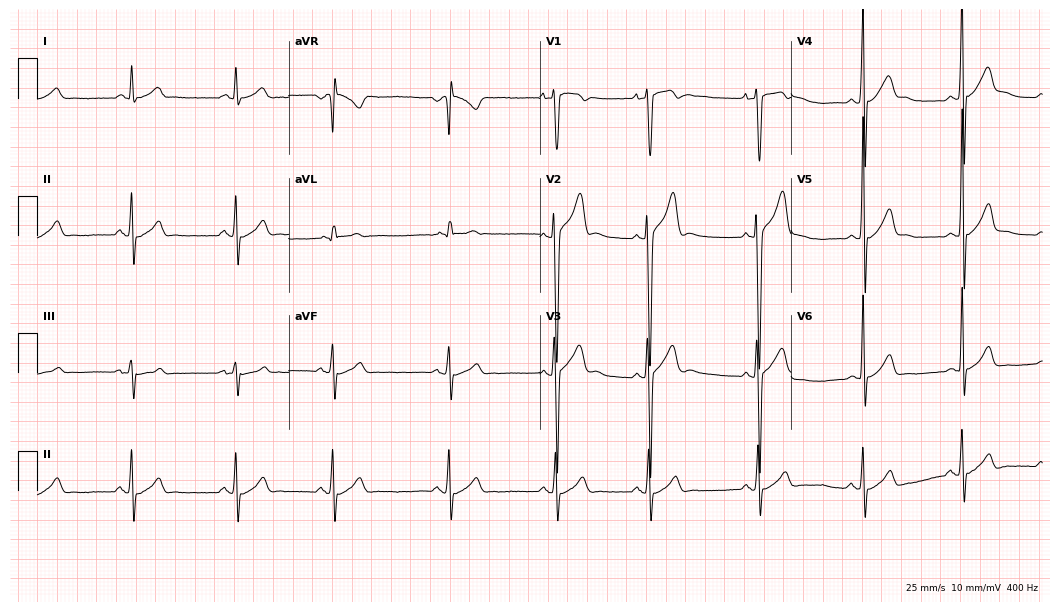
ECG — a male, 20 years old. Labelled as a normal ECG.